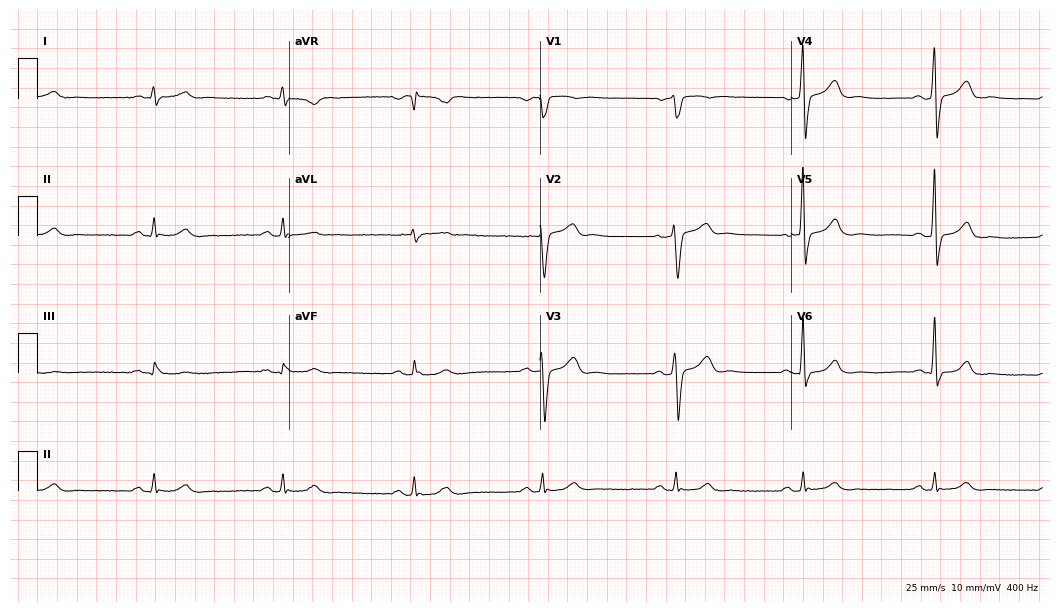
Electrocardiogram (10.2-second recording at 400 Hz), a 58-year-old man. Interpretation includes sinus bradycardia (a sinus rate of 50 beats per minute or less).